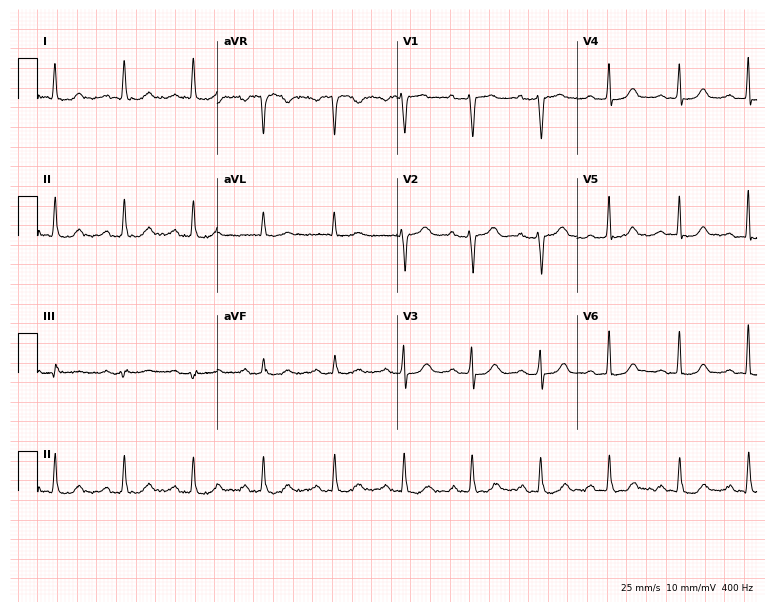
12-lead ECG from a female patient, 71 years old (7.3-second recording at 400 Hz). Recorded interpretation: within normal limits.